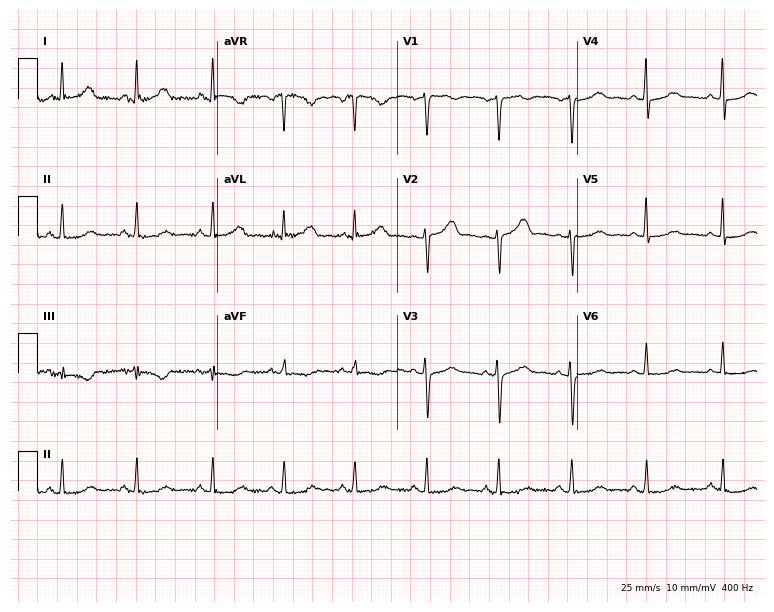
Electrocardiogram, a 48-year-old woman. Overall reading on record: normal ECG.